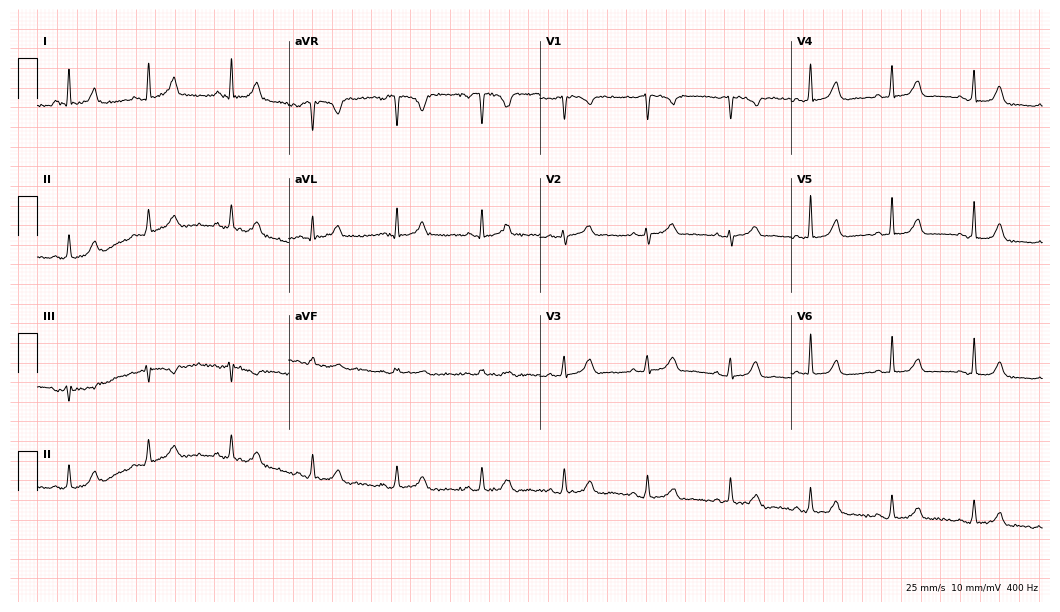
12-lead ECG from a 41-year-old female patient. Screened for six findings — first-degree AV block, right bundle branch block, left bundle branch block, sinus bradycardia, atrial fibrillation, sinus tachycardia — none is recorded.